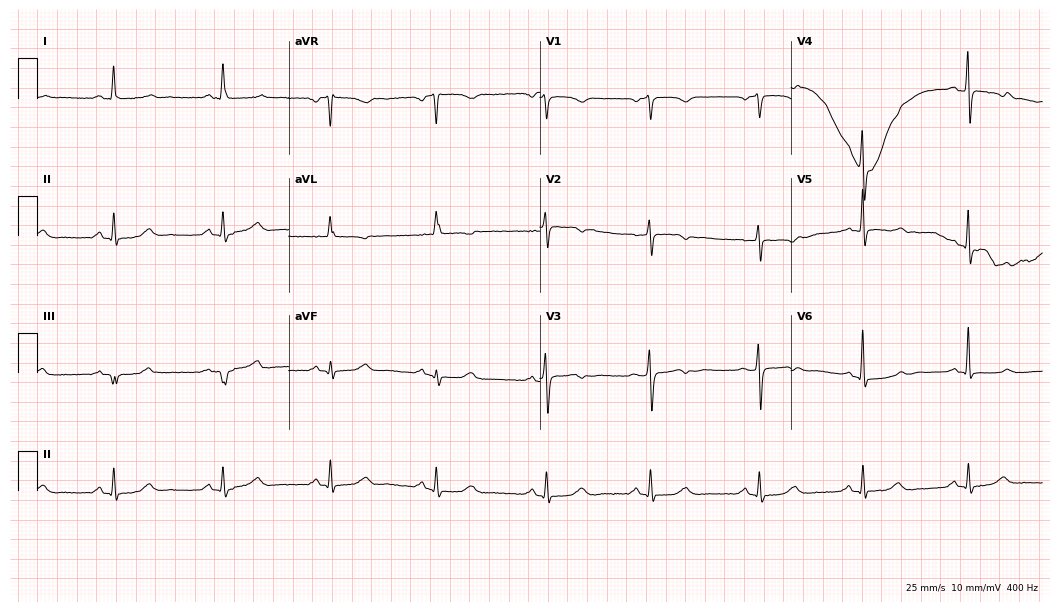
12-lead ECG from a 60-year-old woman. No first-degree AV block, right bundle branch block, left bundle branch block, sinus bradycardia, atrial fibrillation or sinus tachycardia recorded for this tracing. Other findings, if any, are not listed.